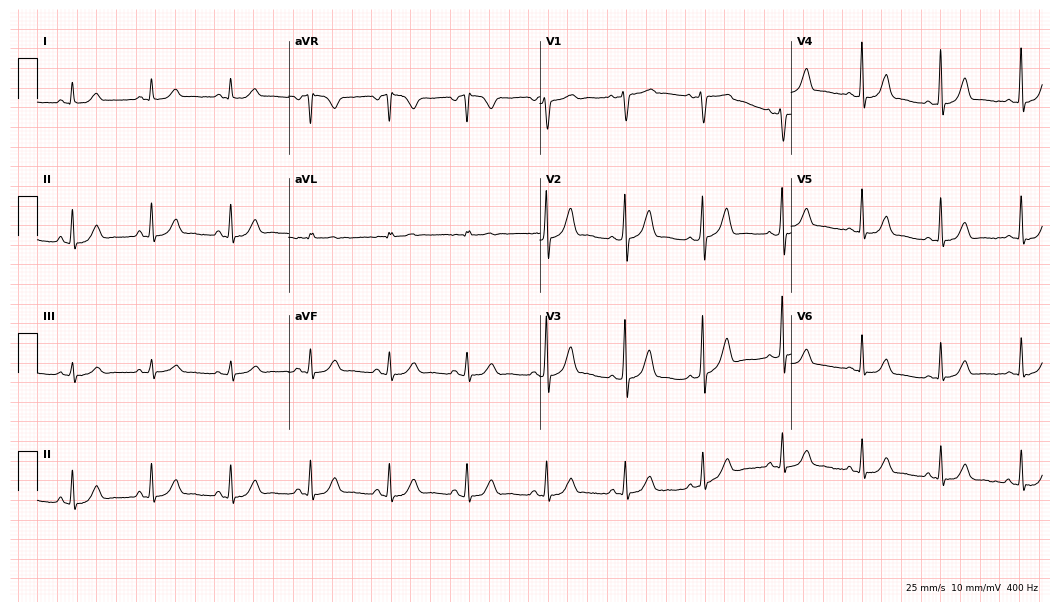
Electrocardiogram (10.2-second recording at 400 Hz), a female patient, 61 years old. Of the six screened findings (first-degree AV block, right bundle branch block, left bundle branch block, sinus bradycardia, atrial fibrillation, sinus tachycardia), none is recorded. Only these six findings were labelled.